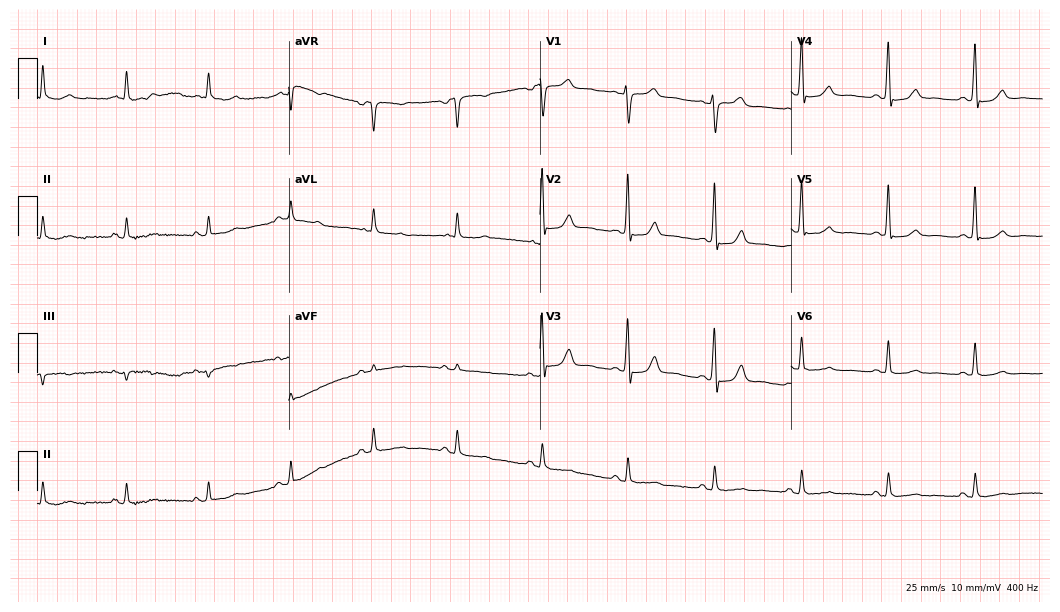
12-lead ECG from a male, 61 years old. Screened for six findings — first-degree AV block, right bundle branch block, left bundle branch block, sinus bradycardia, atrial fibrillation, sinus tachycardia — none is recorded. Only these six findings were labelled.